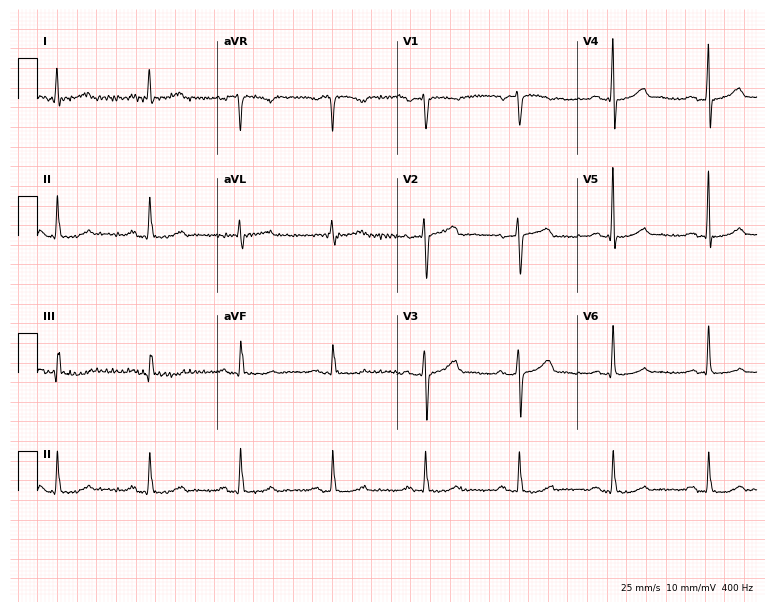
Resting 12-lead electrocardiogram. Patient: a female, 69 years old. Read as a normal ECG.